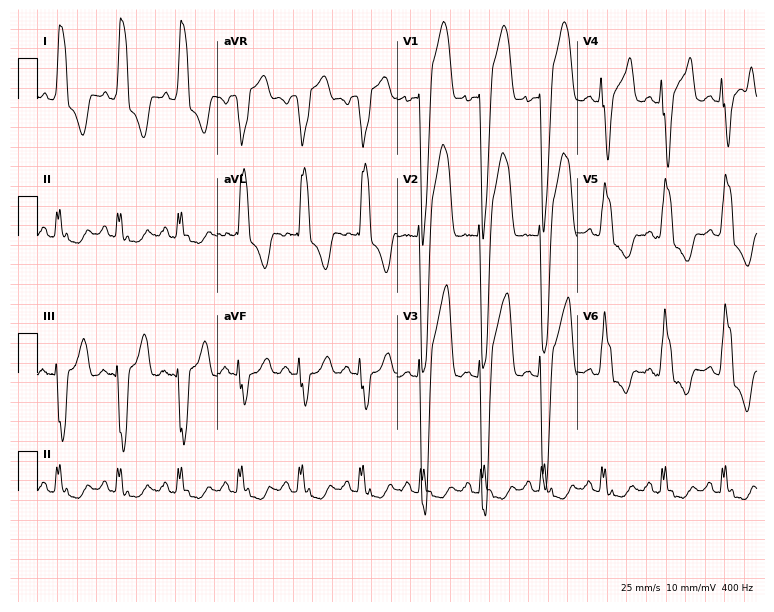
Resting 12-lead electrocardiogram (7.3-second recording at 400 Hz). Patient: a 51-year-old man. None of these six findings is recorded: first-degree AV block, right bundle branch block, left bundle branch block, sinus bradycardia, atrial fibrillation, sinus tachycardia.